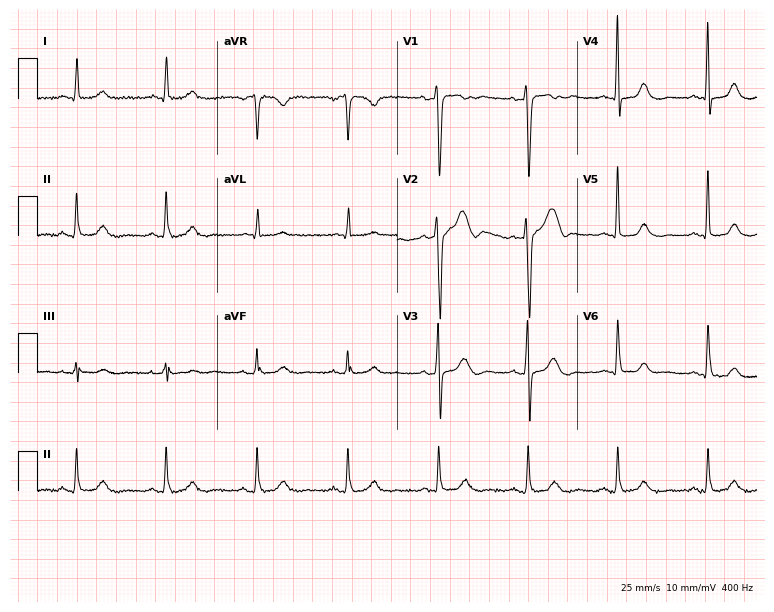
12-lead ECG from a male, 54 years old. Labelled as a normal ECG.